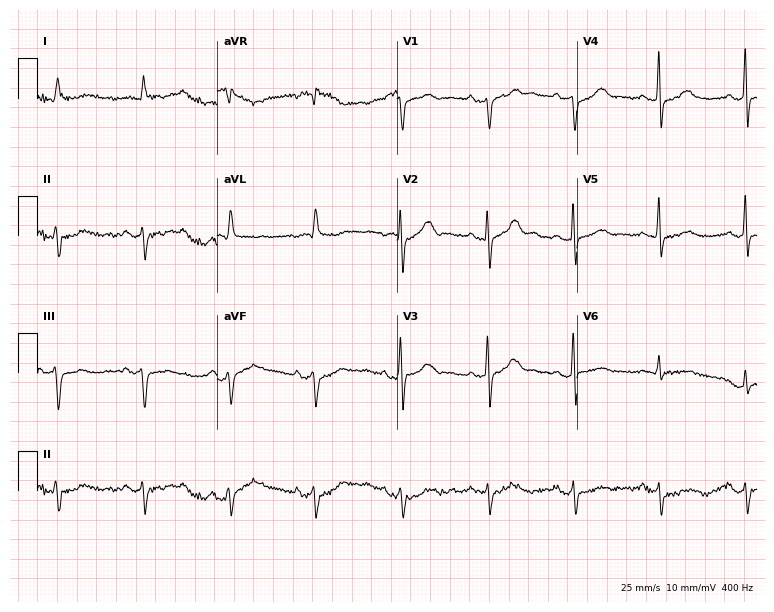
12-lead ECG (7.3-second recording at 400 Hz) from an 84-year-old man. Screened for six findings — first-degree AV block, right bundle branch block, left bundle branch block, sinus bradycardia, atrial fibrillation, sinus tachycardia — none is recorded.